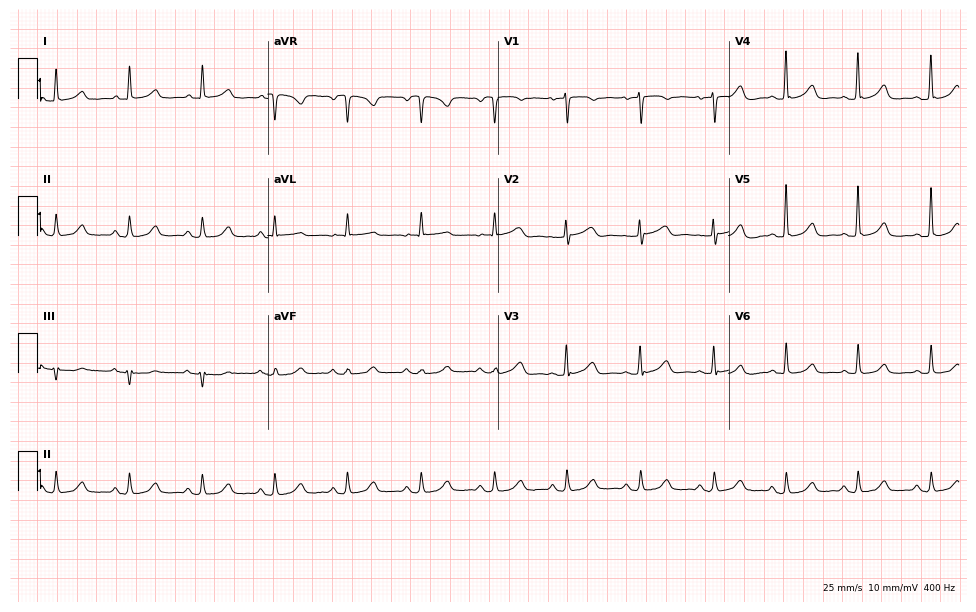
Electrocardiogram (9.4-second recording at 400 Hz), a female, 67 years old. Overall reading on record: normal ECG.